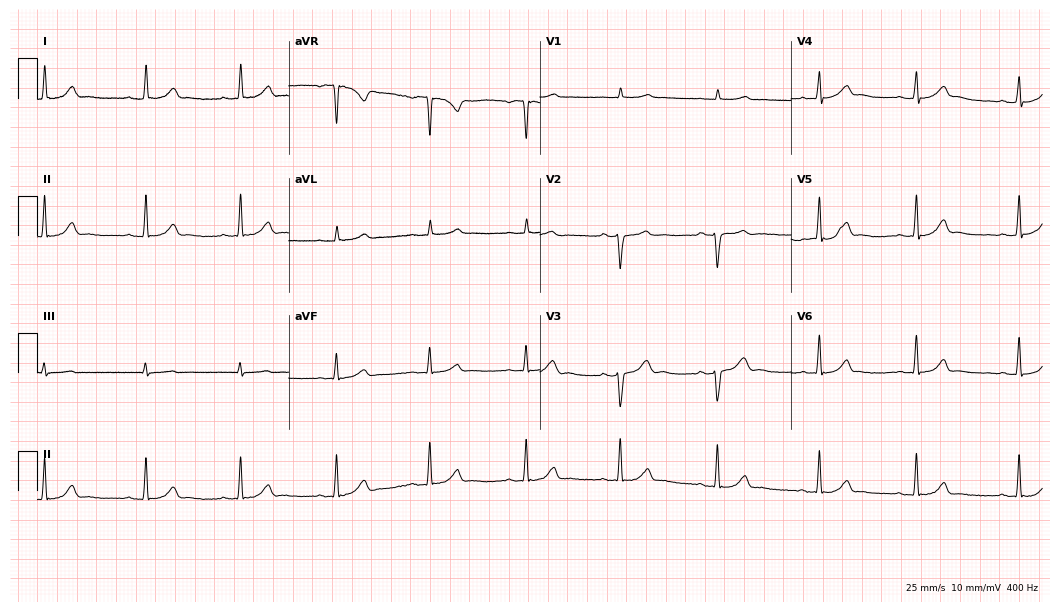
ECG (10.2-second recording at 400 Hz) — a 25-year-old female patient. Labelled as a normal ECG.